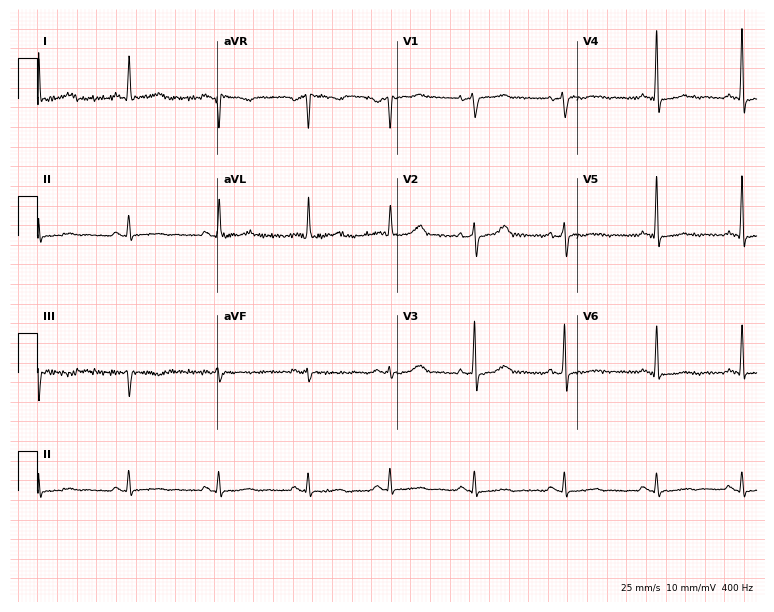
Electrocardiogram, a woman, 45 years old. Of the six screened findings (first-degree AV block, right bundle branch block, left bundle branch block, sinus bradycardia, atrial fibrillation, sinus tachycardia), none is recorded.